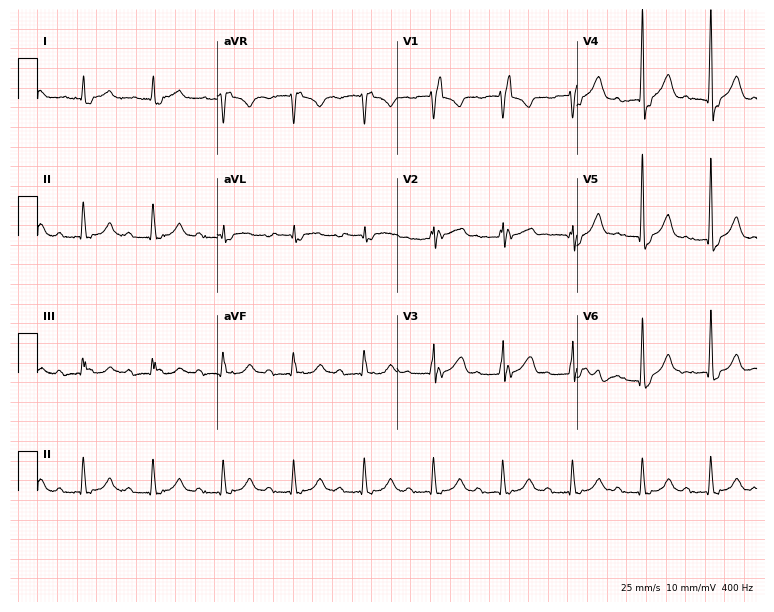
12-lead ECG from an 83-year-old man. Shows first-degree AV block, right bundle branch block.